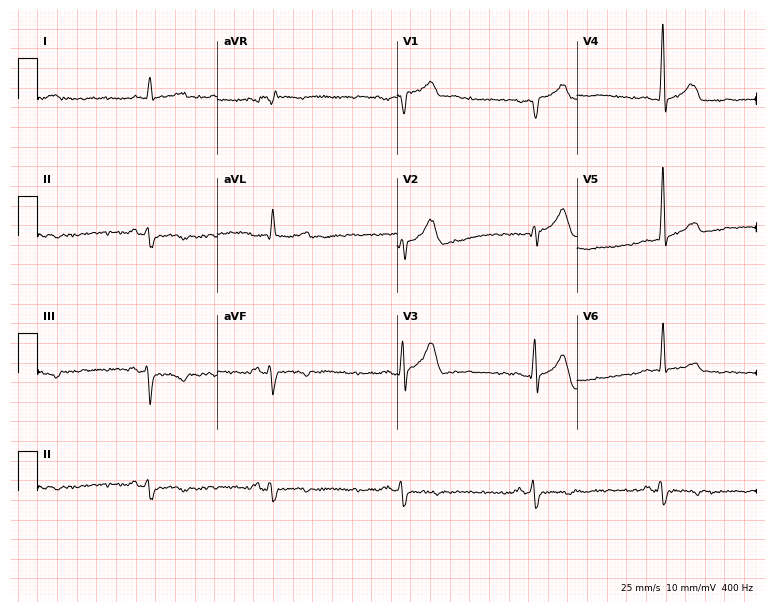
Standard 12-lead ECG recorded from a 71-year-old male patient. The tracing shows sinus bradycardia (a sinus rate of 50 beats per minute or less).